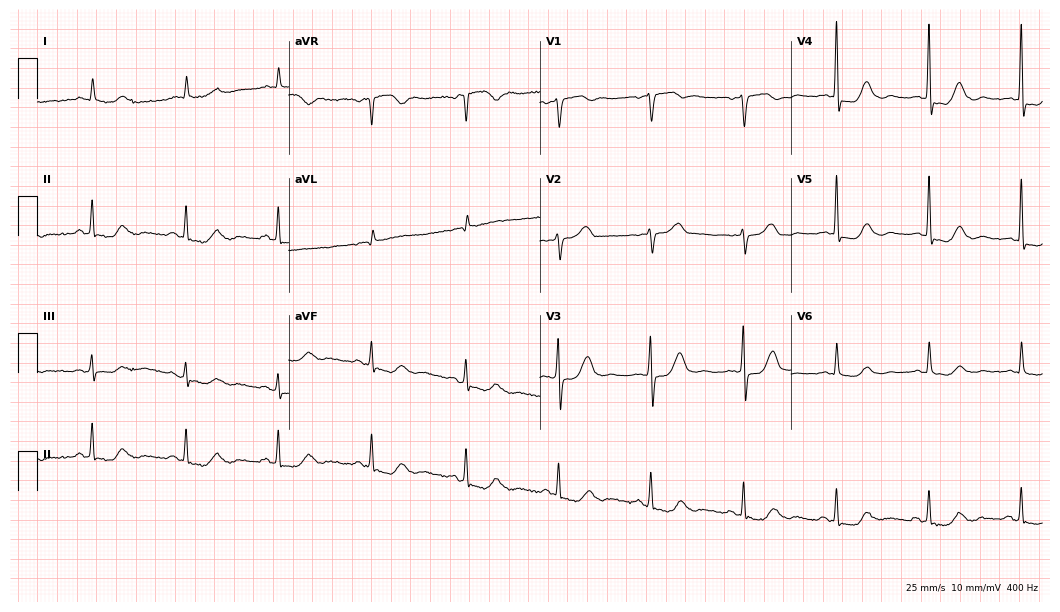
12-lead ECG from a 75-year-old female. Recorded interpretation: within normal limits.